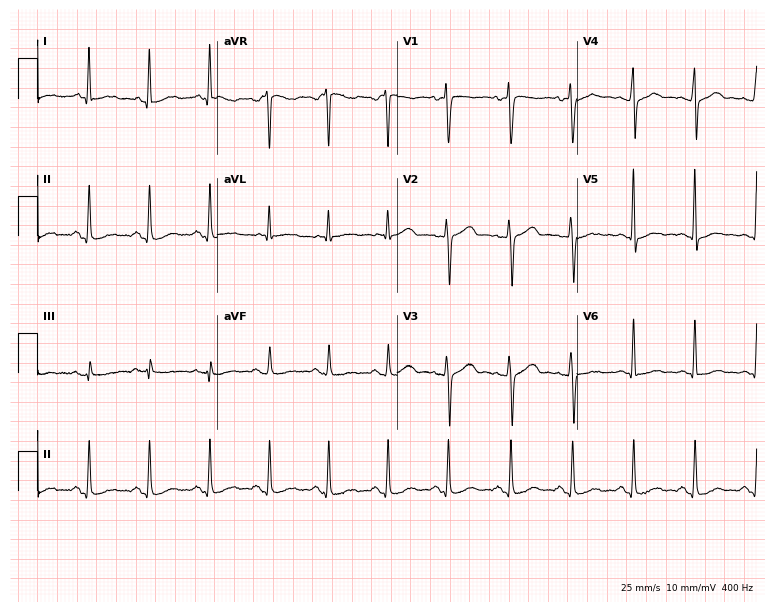
12-lead ECG from a female patient, 52 years old. No first-degree AV block, right bundle branch block, left bundle branch block, sinus bradycardia, atrial fibrillation or sinus tachycardia recorded for this tracing. Findings outside these six are not listed.